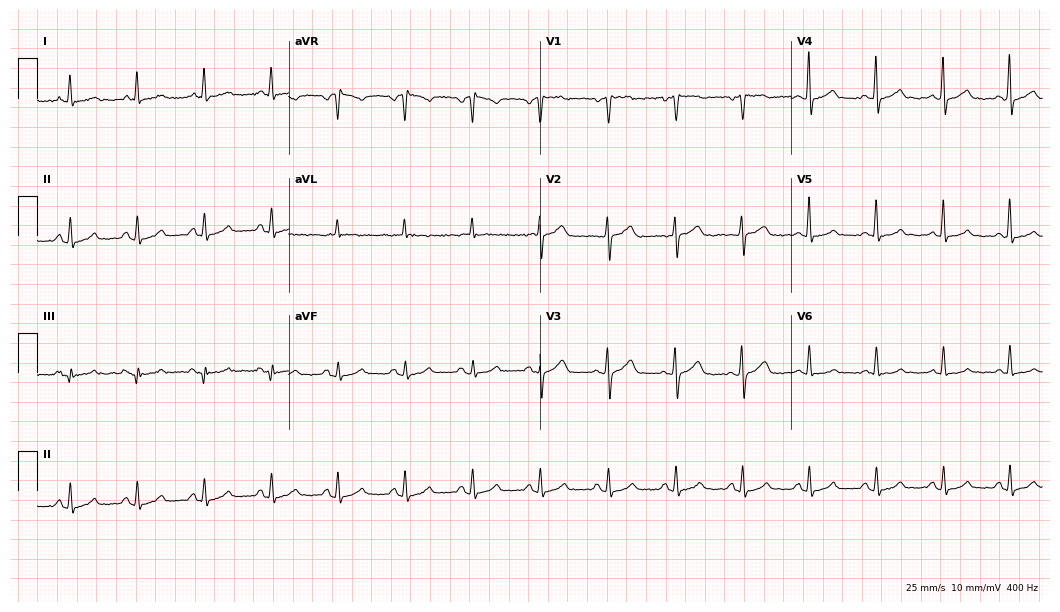
12-lead ECG (10.2-second recording at 400 Hz) from a female patient, 63 years old. Labelled as a normal ECG.